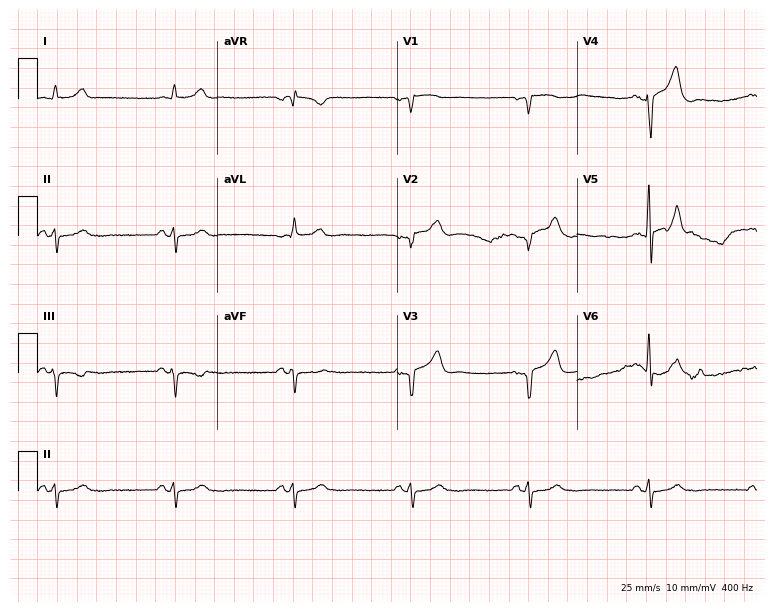
Resting 12-lead electrocardiogram. Patient: a 61-year-old male. None of these six findings is recorded: first-degree AV block, right bundle branch block, left bundle branch block, sinus bradycardia, atrial fibrillation, sinus tachycardia.